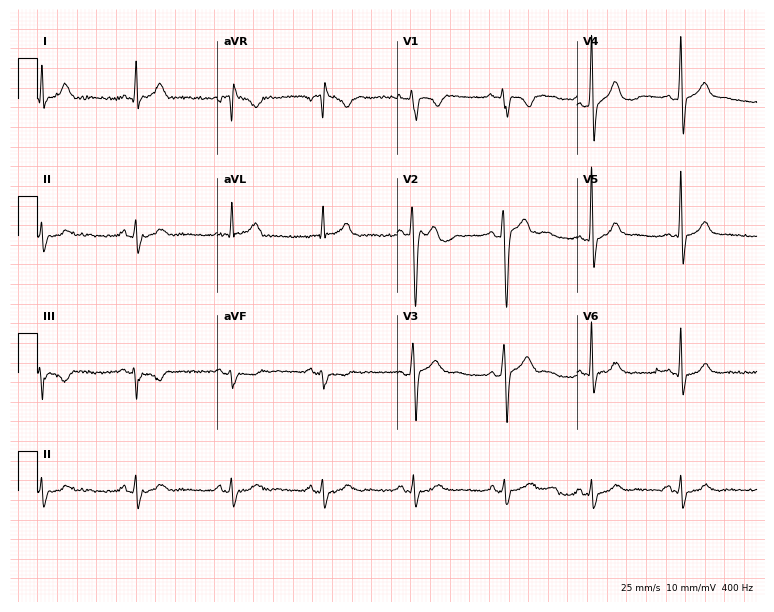
Electrocardiogram, a 33-year-old male. Of the six screened findings (first-degree AV block, right bundle branch block (RBBB), left bundle branch block (LBBB), sinus bradycardia, atrial fibrillation (AF), sinus tachycardia), none is recorded. Findings outside these six are not listed.